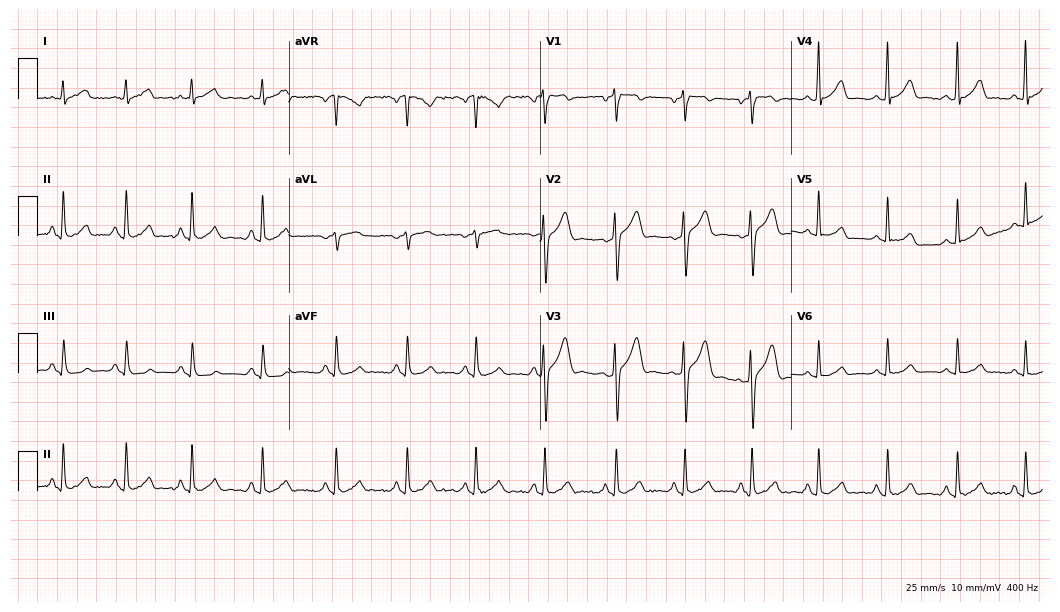
12-lead ECG (10.2-second recording at 400 Hz) from a man, 25 years old. Labelled as a normal ECG.